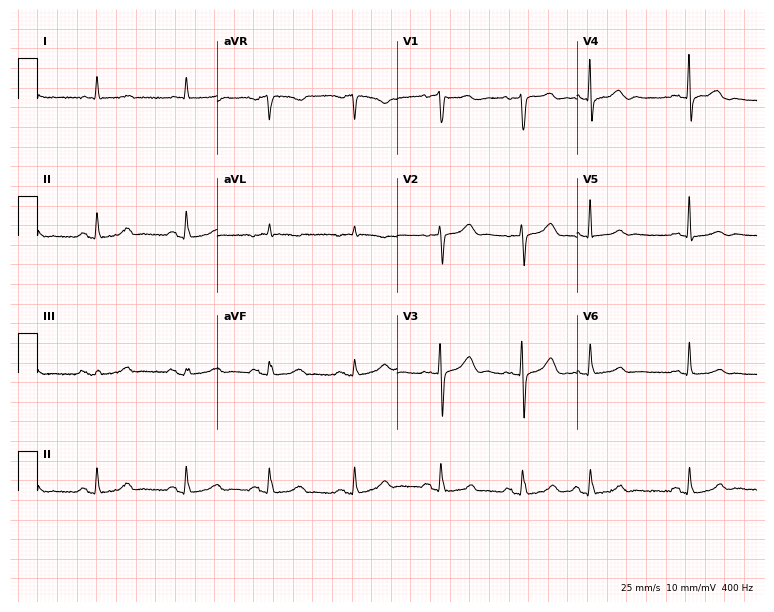
12-lead ECG from a female, 77 years old (7.3-second recording at 400 Hz). No first-degree AV block, right bundle branch block, left bundle branch block, sinus bradycardia, atrial fibrillation or sinus tachycardia recorded for this tracing. Other findings, if any, are not listed.